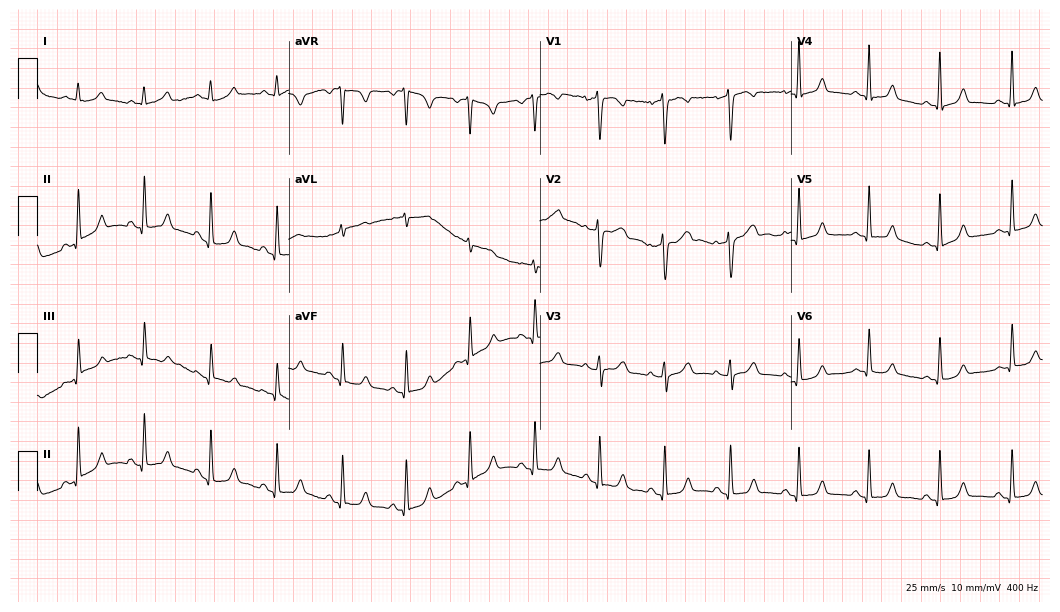
Standard 12-lead ECG recorded from a 33-year-old female. Read as a normal ECG.